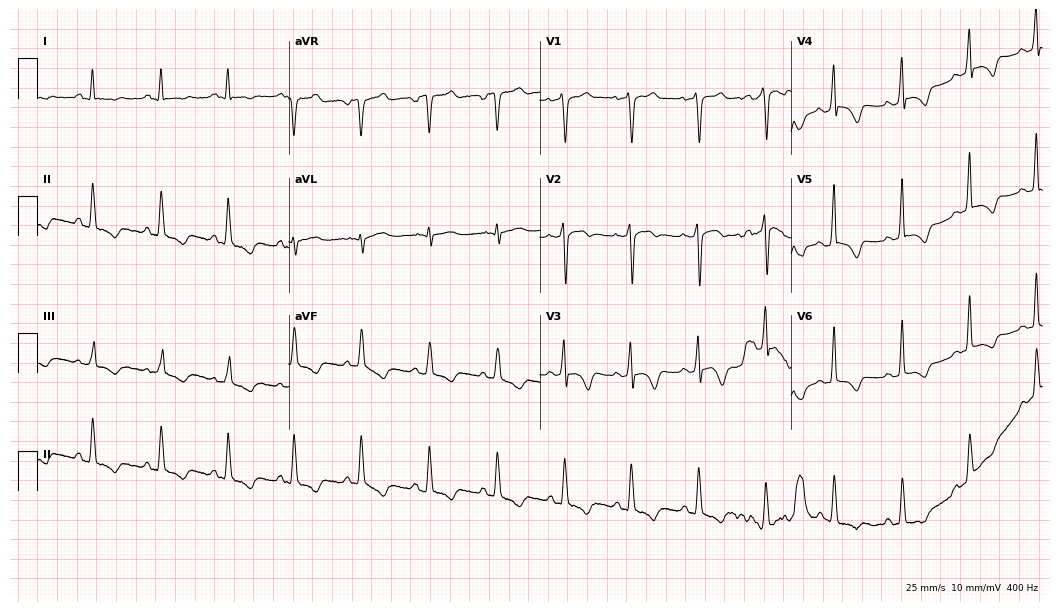
12-lead ECG (10.2-second recording at 400 Hz) from a 55-year-old male patient. Screened for six findings — first-degree AV block, right bundle branch block (RBBB), left bundle branch block (LBBB), sinus bradycardia, atrial fibrillation (AF), sinus tachycardia — none is recorded. Other findings, if any, are not listed.